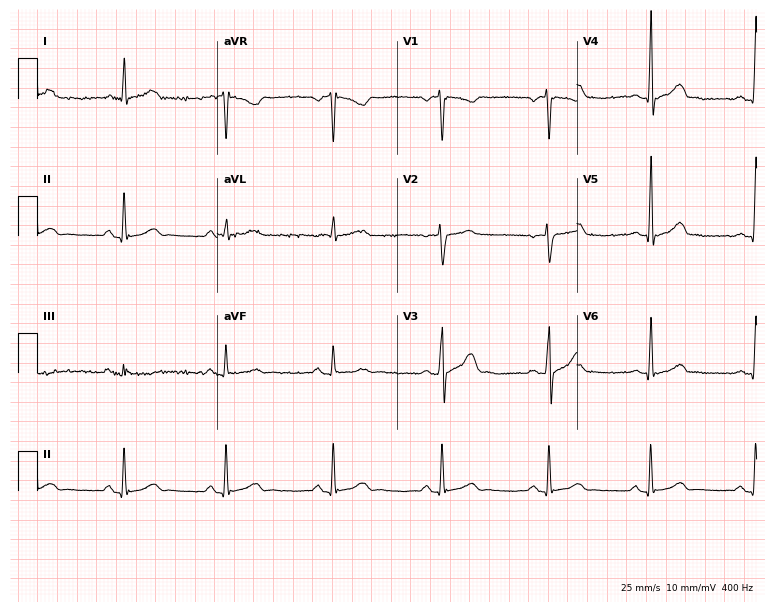
12-lead ECG from a male, 36 years old (7.3-second recording at 400 Hz). Recorded interpretation: within normal limits.